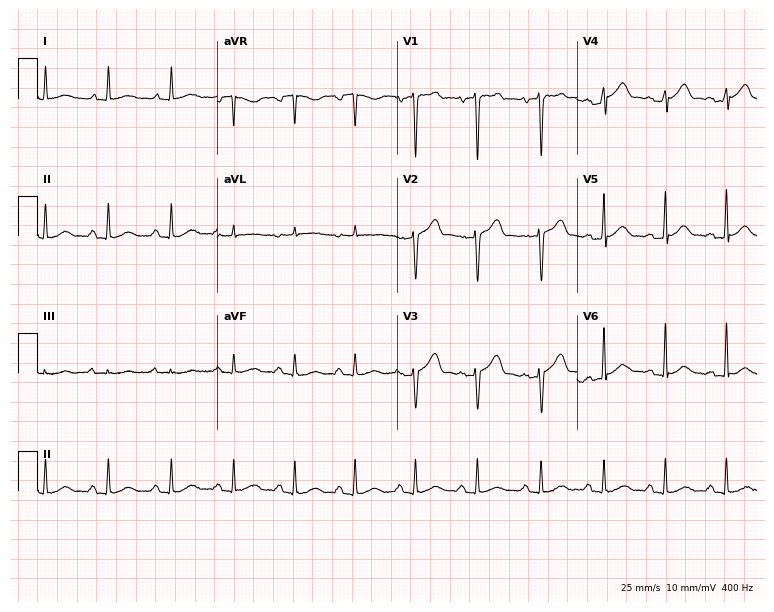
12-lead ECG from a 38-year-old male. Screened for six findings — first-degree AV block, right bundle branch block, left bundle branch block, sinus bradycardia, atrial fibrillation, sinus tachycardia — none is recorded.